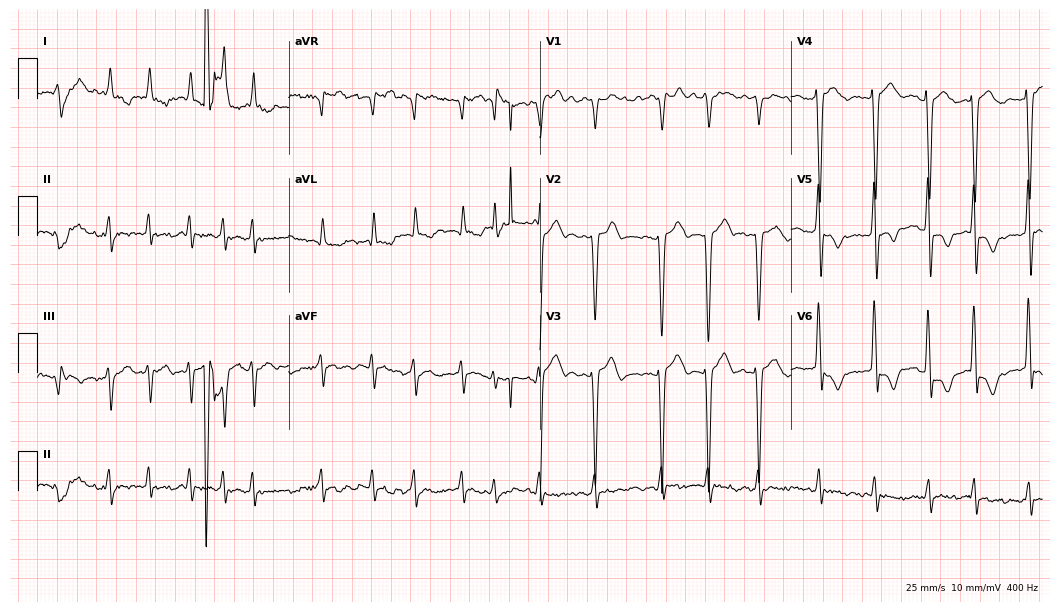
Resting 12-lead electrocardiogram (10.2-second recording at 400 Hz). Patient: a woman, 76 years old. The tracing shows atrial fibrillation (AF).